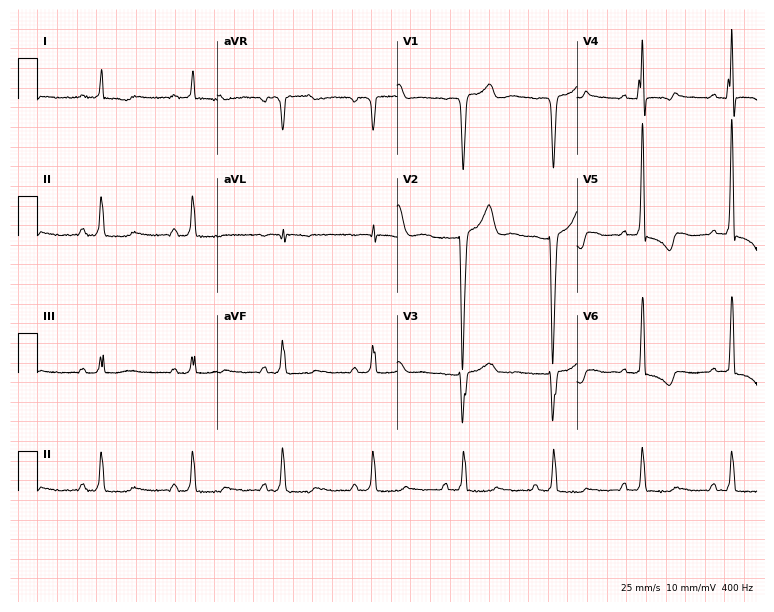
ECG — a male, 56 years old. Screened for six findings — first-degree AV block, right bundle branch block, left bundle branch block, sinus bradycardia, atrial fibrillation, sinus tachycardia — none is recorded.